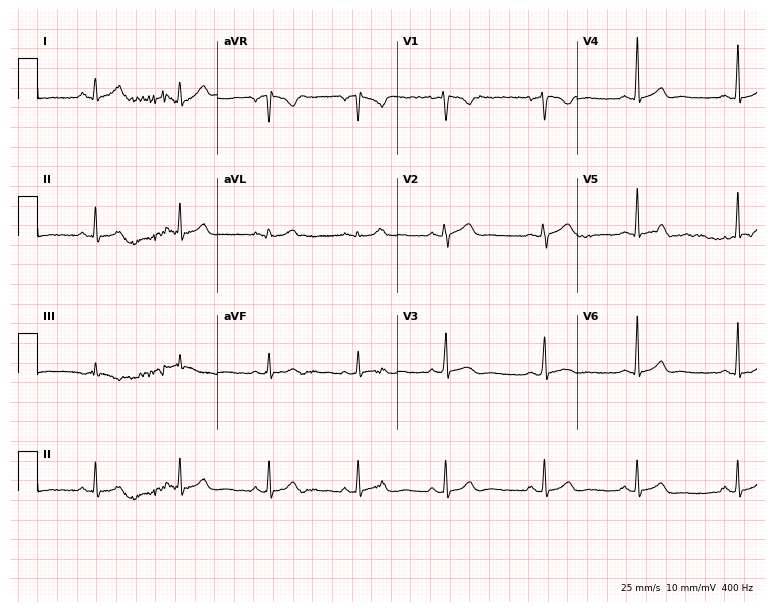
ECG — a woman, 25 years old. Screened for six findings — first-degree AV block, right bundle branch block, left bundle branch block, sinus bradycardia, atrial fibrillation, sinus tachycardia — none is recorded.